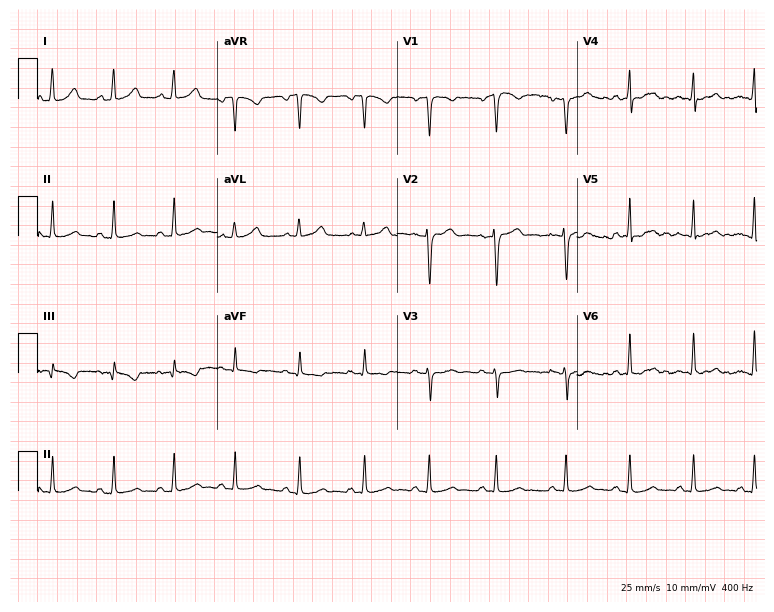
12-lead ECG from a woman, 27 years old. Recorded interpretation: within normal limits.